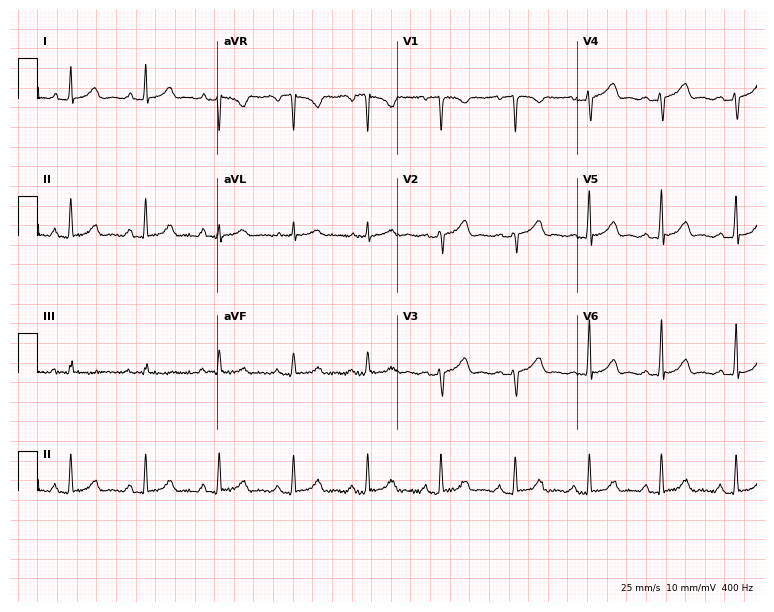
12-lead ECG from a female, 34 years old. No first-degree AV block, right bundle branch block (RBBB), left bundle branch block (LBBB), sinus bradycardia, atrial fibrillation (AF) or sinus tachycardia recorded for this tracing. Findings outside these six are not listed.